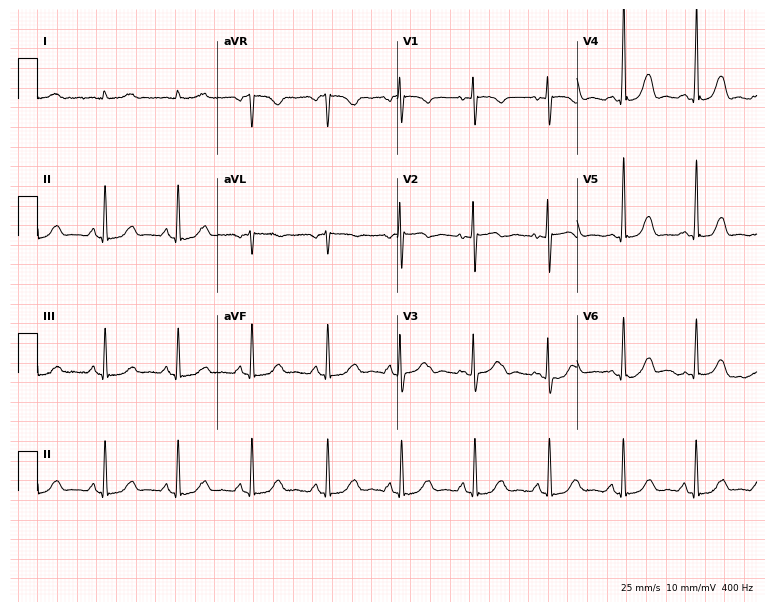
Resting 12-lead electrocardiogram (7.3-second recording at 400 Hz). Patient: a 43-year-old female. Read as a normal ECG.